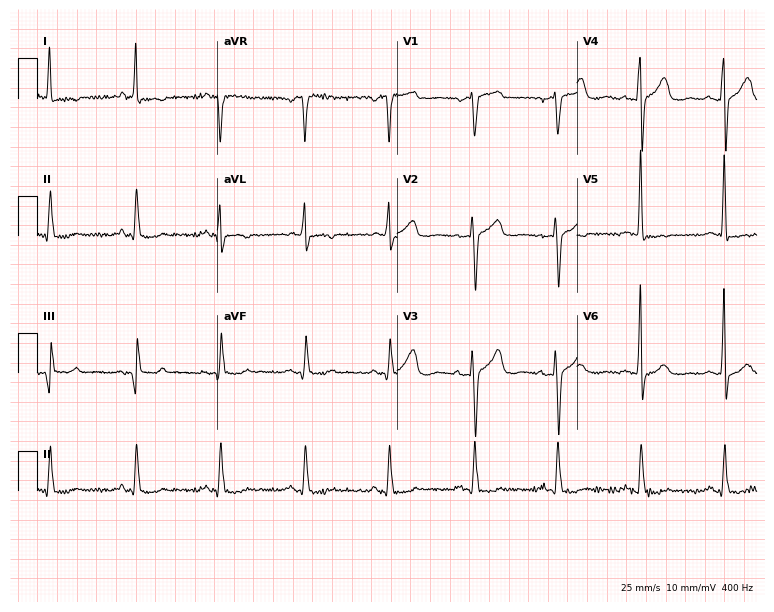
ECG (7.3-second recording at 400 Hz) — a female, 60 years old. Screened for six findings — first-degree AV block, right bundle branch block (RBBB), left bundle branch block (LBBB), sinus bradycardia, atrial fibrillation (AF), sinus tachycardia — none is recorded.